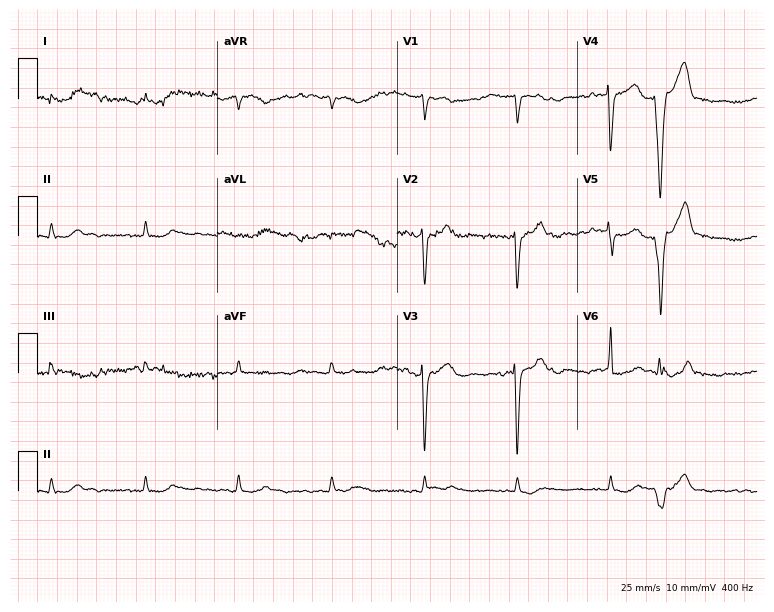
Resting 12-lead electrocardiogram (7.3-second recording at 400 Hz). Patient: a man, 69 years old. None of these six findings is recorded: first-degree AV block, right bundle branch block, left bundle branch block, sinus bradycardia, atrial fibrillation, sinus tachycardia.